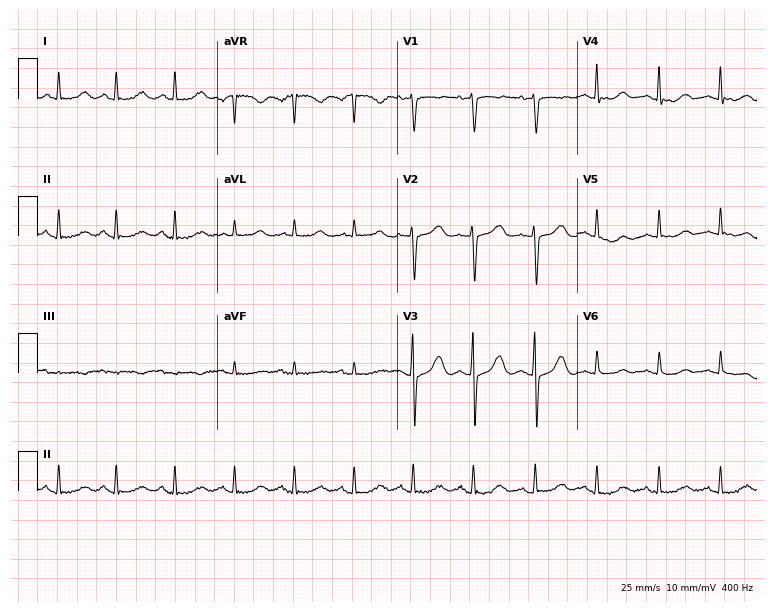
Resting 12-lead electrocardiogram (7.3-second recording at 400 Hz). Patient: a female, 61 years old. None of these six findings is recorded: first-degree AV block, right bundle branch block, left bundle branch block, sinus bradycardia, atrial fibrillation, sinus tachycardia. Only these six findings were labelled.